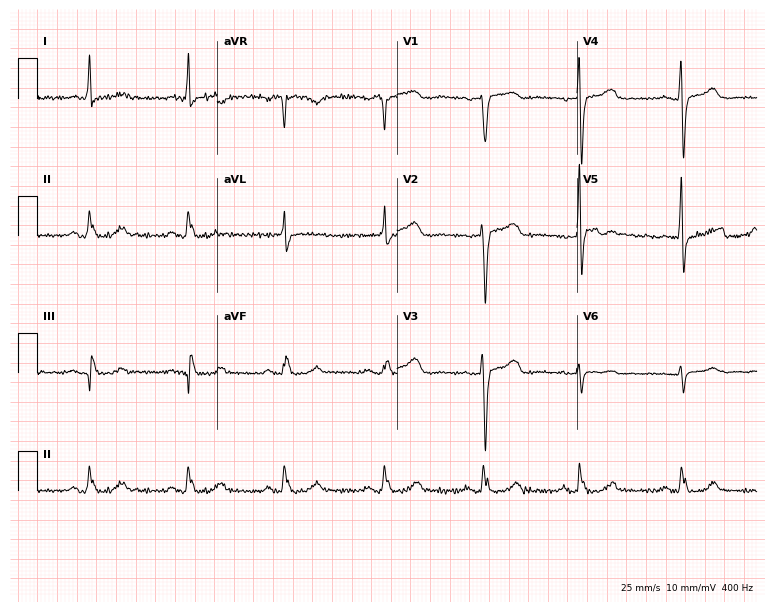
Resting 12-lead electrocardiogram. Patient: a female, 63 years old. None of these six findings is recorded: first-degree AV block, right bundle branch block (RBBB), left bundle branch block (LBBB), sinus bradycardia, atrial fibrillation (AF), sinus tachycardia. Other findings, if any, are not listed.